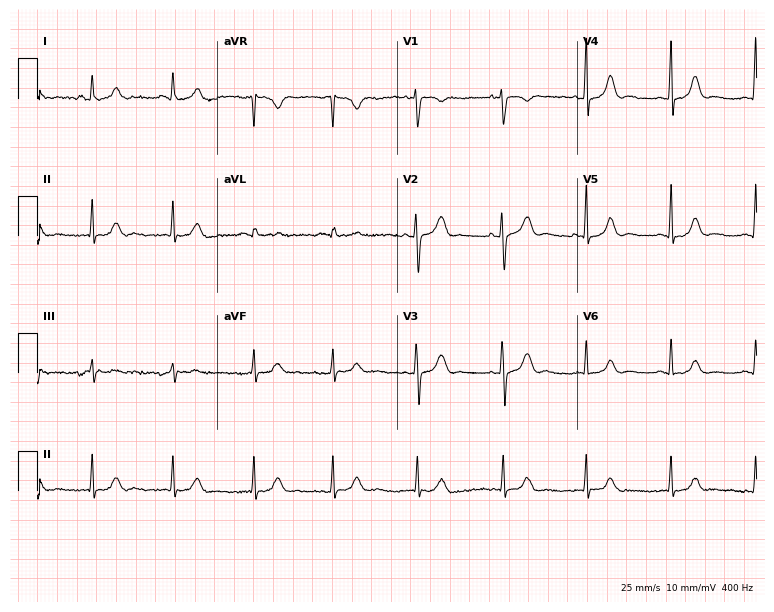
ECG — a 17-year-old female patient. Screened for six findings — first-degree AV block, right bundle branch block, left bundle branch block, sinus bradycardia, atrial fibrillation, sinus tachycardia — none is recorded. Only these six findings were labelled.